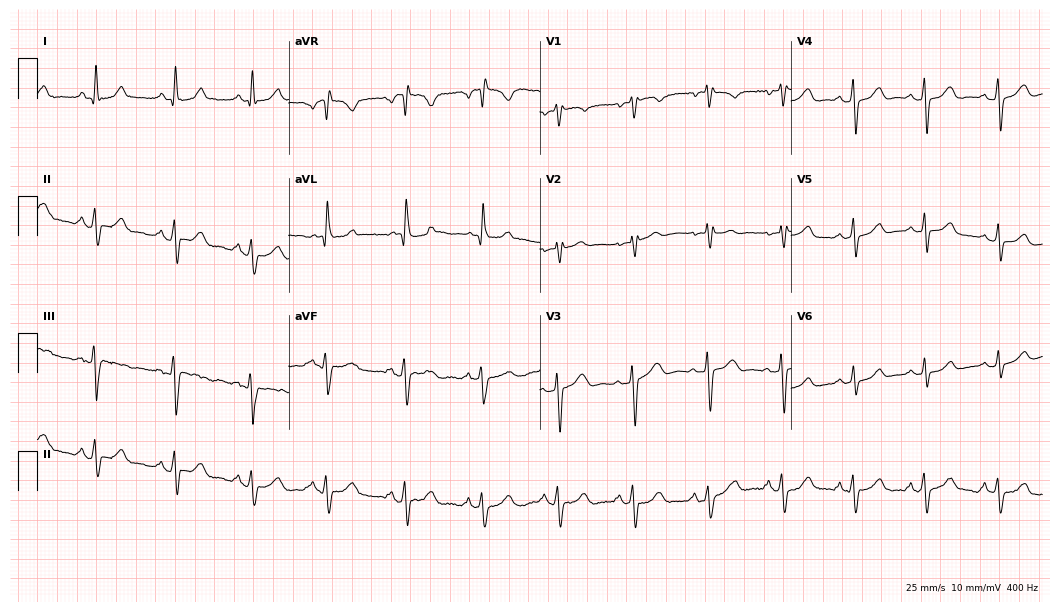
12-lead ECG (10.2-second recording at 400 Hz) from a 52-year-old woman. Screened for six findings — first-degree AV block, right bundle branch block, left bundle branch block, sinus bradycardia, atrial fibrillation, sinus tachycardia — none is recorded. Only these six findings were labelled.